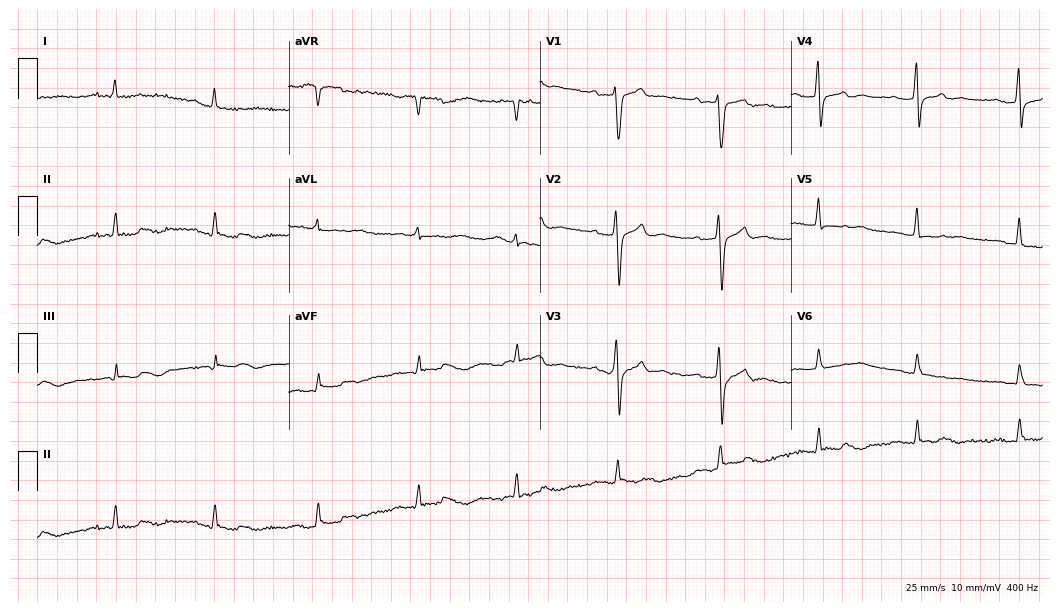
12-lead ECG (10.2-second recording at 400 Hz) from a 53-year-old male patient. Screened for six findings — first-degree AV block, right bundle branch block, left bundle branch block, sinus bradycardia, atrial fibrillation, sinus tachycardia — none is recorded. Findings outside these six are not listed.